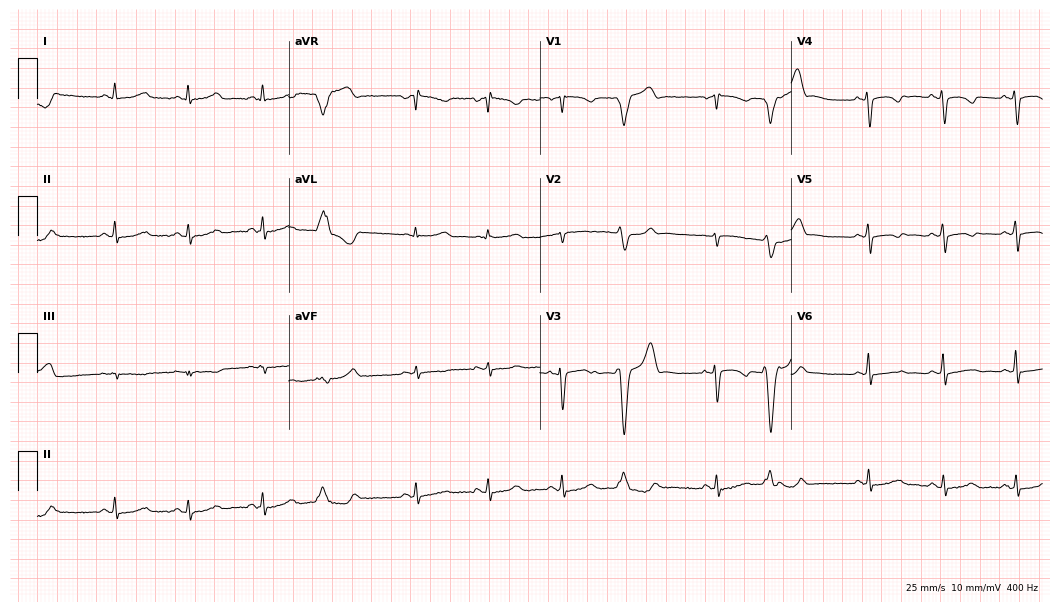
12-lead ECG from a 43-year-old woman. Screened for six findings — first-degree AV block, right bundle branch block, left bundle branch block, sinus bradycardia, atrial fibrillation, sinus tachycardia — none is recorded.